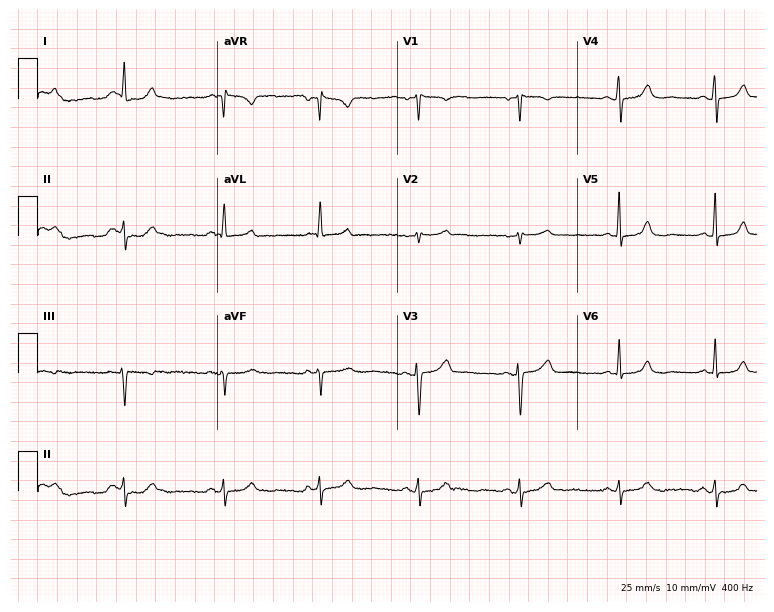
Standard 12-lead ECG recorded from a 52-year-old woman. None of these six findings is recorded: first-degree AV block, right bundle branch block, left bundle branch block, sinus bradycardia, atrial fibrillation, sinus tachycardia. Other findings, if any, are not listed.